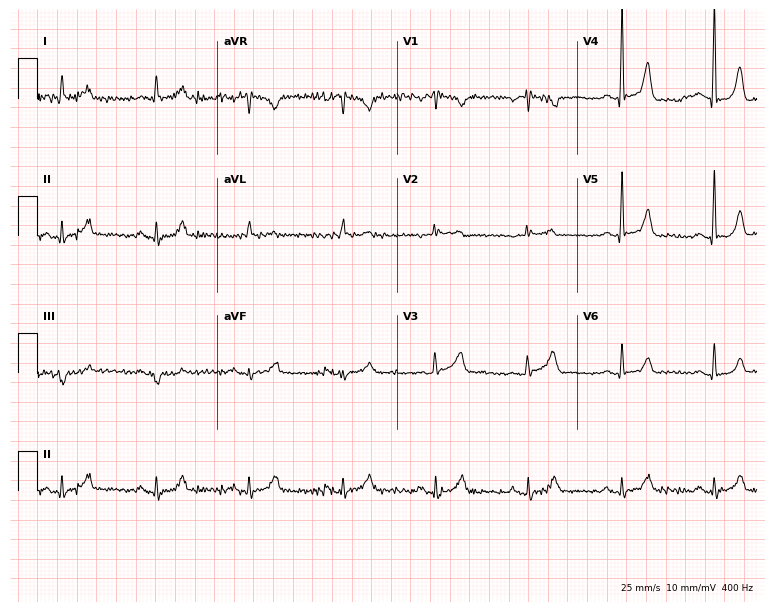
Electrocardiogram (7.3-second recording at 400 Hz), a 74-year-old male patient. Of the six screened findings (first-degree AV block, right bundle branch block (RBBB), left bundle branch block (LBBB), sinus bradycardia, atrial fibrillation (AF), sinus tachycardia), none is recorded.